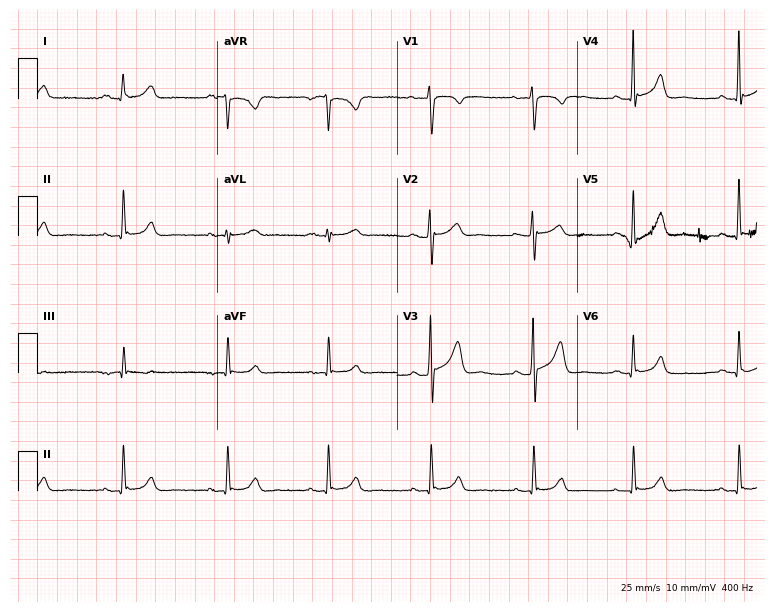
ECG (7.3-second recording at 400 Hz) — a male, 35 years old. Screened for six findings — first-degree AV block, right bundle branch block, left bundle branch block, sinus bradycardia, atrial fibrillation, sinus tachycardia — none is recorded.